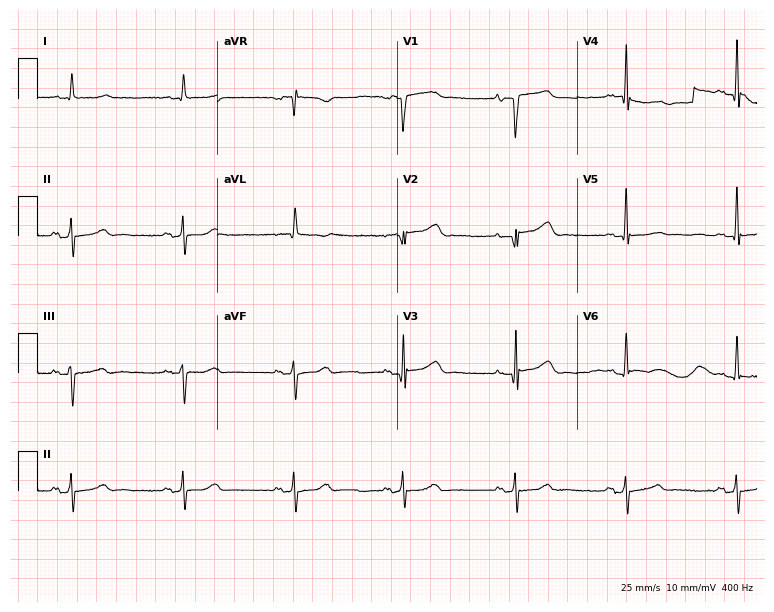
Electrocardiogram, an 86-year-old female. Of the six screened findings (first-degree AV block, right bundle branch block (RBBB), left bundle branch block (LBBB), sinus bradycardia, atrial fibrillation (AF), sinus tachycardia), none is recorded.